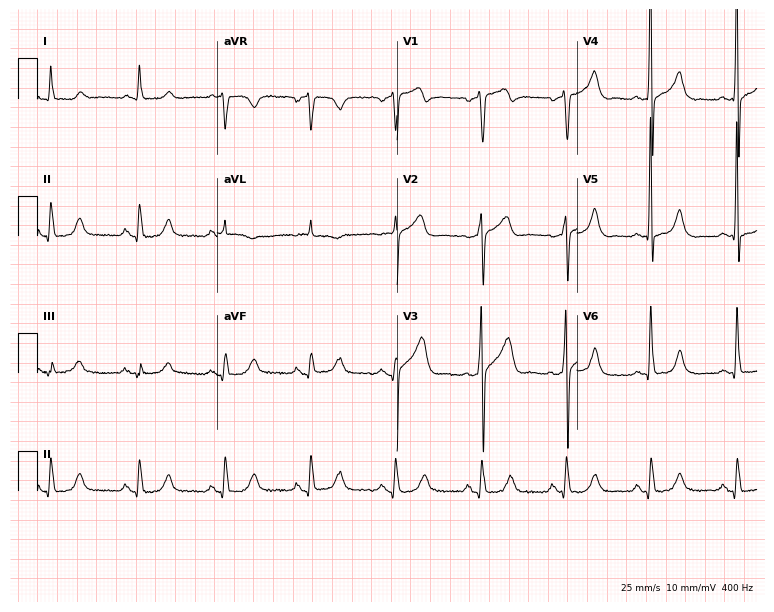
Standard 12-lead ECG recorded from a 67-year-old man. None of these six findings is recorded: first-degree AV block, right bundle branch block, left bundle branch block, sinus bradycardia, atrial fibrillation, sinus tachycardia. Other findings, if any, are not listed.